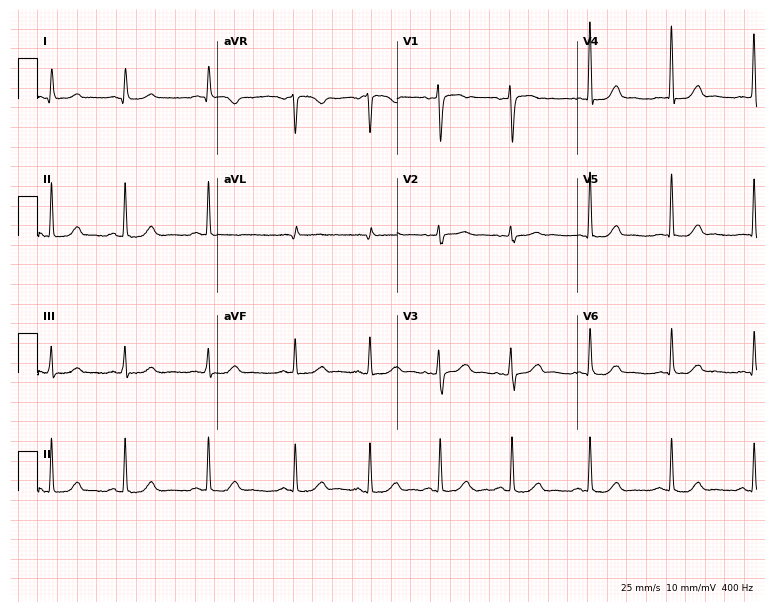
ECG (7.3-second recording at 400 Hz) — a female, 37 years old. Labelled as a normal ECG.